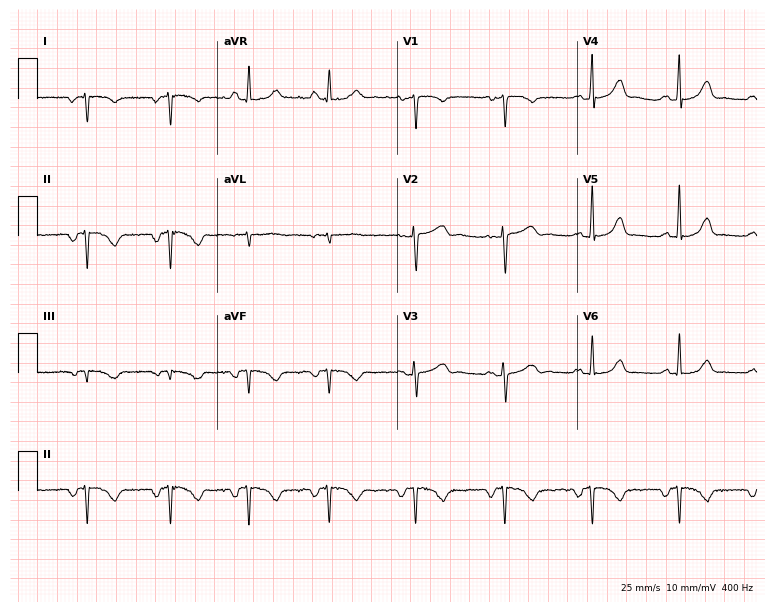
12-lead ECG from a 44-year-old female patient. Screened for six findings — first-degree AV block, right bundle branch block, left bundle branch block, sinus bradycardia, atrial fibrillation, sinus tachycardia — none is recorded. Other findings, if any, are not listed.